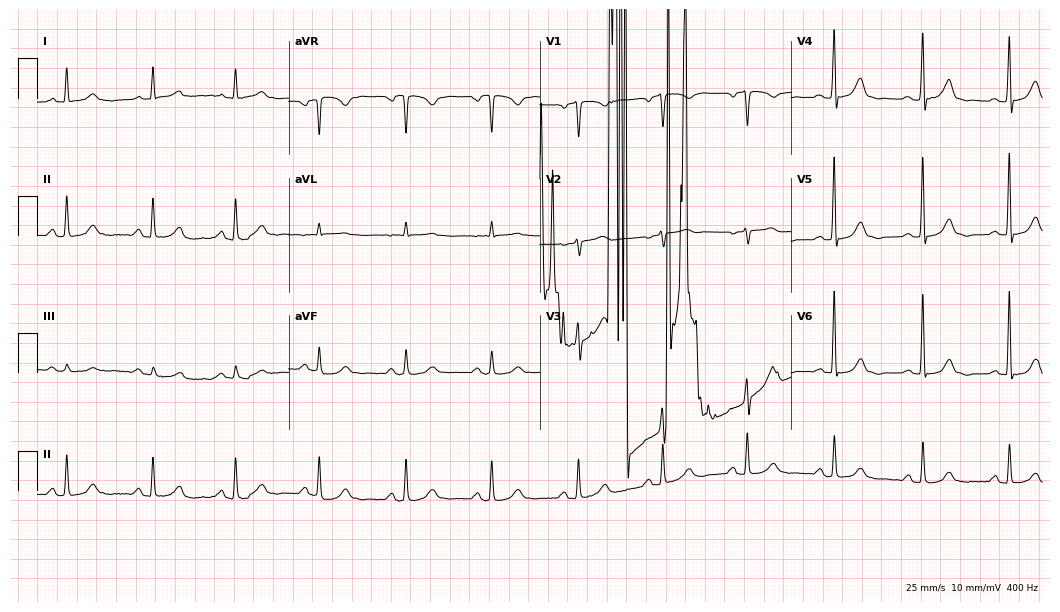
Resting 12-lead electrocardiogram. Patient: a female, 53 years old. None of these six findings is recorded: first-degree AV block, right bundle branch block (RBBB), left bundle branch block (LBBB), sinus bradycardia, atrial fibrillation (AF), sinus tachycardia.